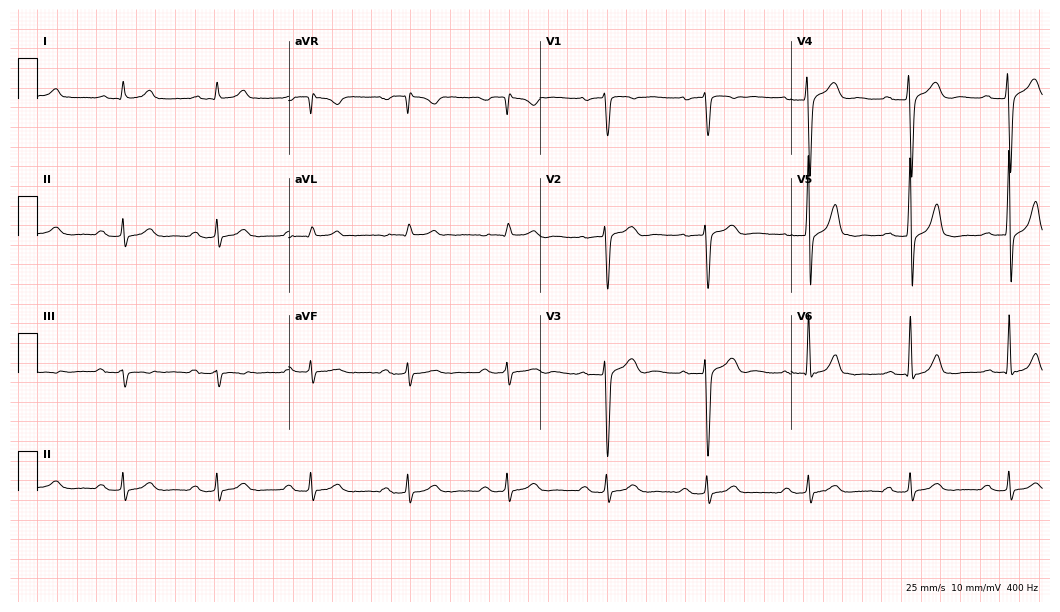
ECG (10.2-second recording at 400 Hz) — a man, 64 years old. Screened for six findings — first-degree AV block, right bundle branch block, left bundle branch block, sinus bradycardia, atrial fibrillation, sinus tachycardia — none is recorded. Only these six findings were labelled.